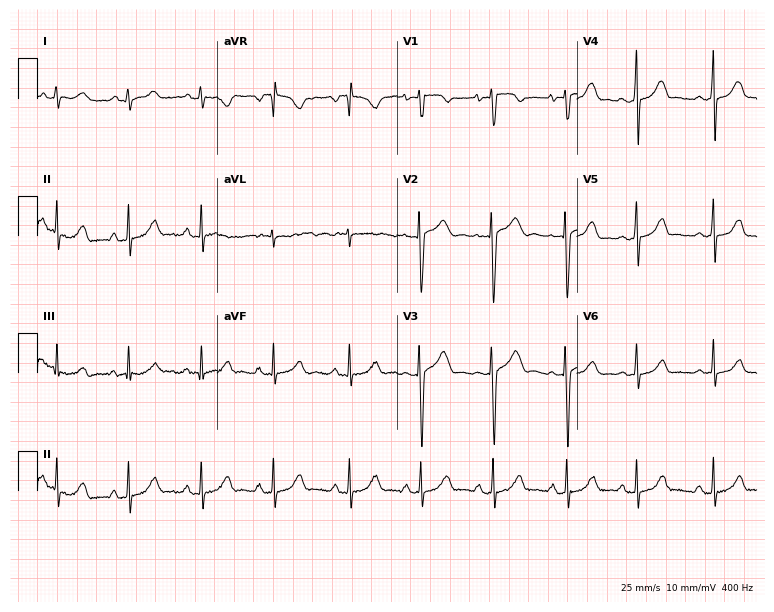
Standard 12-lead ECG recorded from a female, 18 years old (7.3-second recording at 400 Hz). Read as a normal ECG.